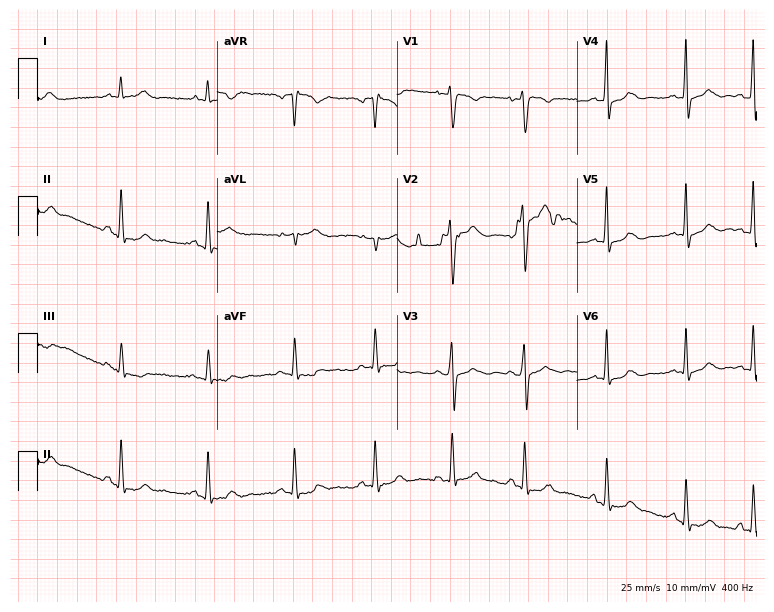
Resting 12-lead electrocardiogram. Patient: a 34-year-old female. None of these six findings is recorded: first-degree AV block, right bundle branch block, left bundle branch block, sinus bradycardia, atrial fibrillation, sinus tachycardia. Other findings, if any, are not listed.